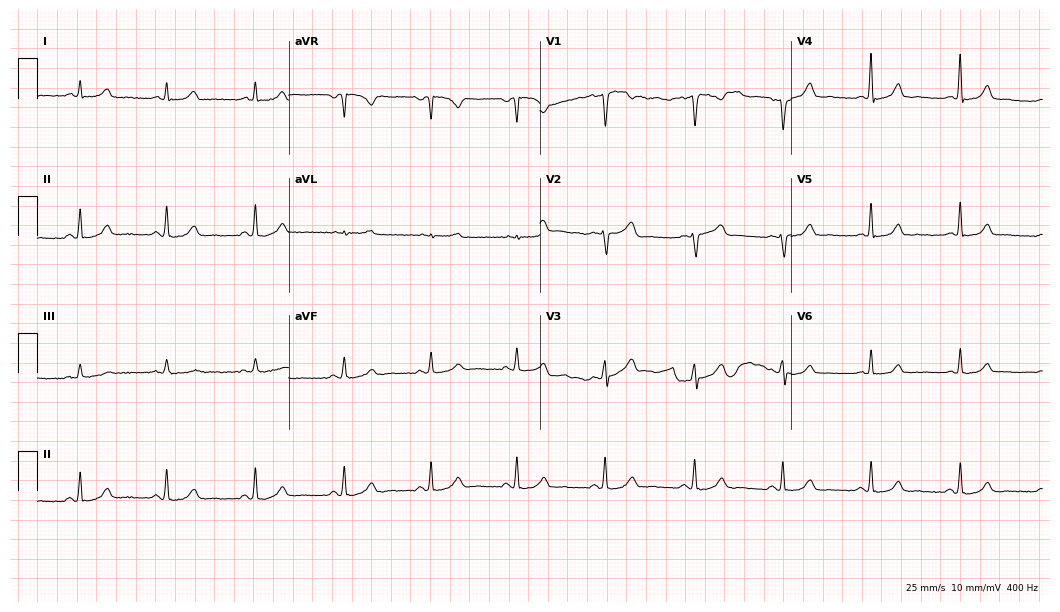
Electrocardiogram, a 47-year-old woman. Overall reading on record: normal ECG.